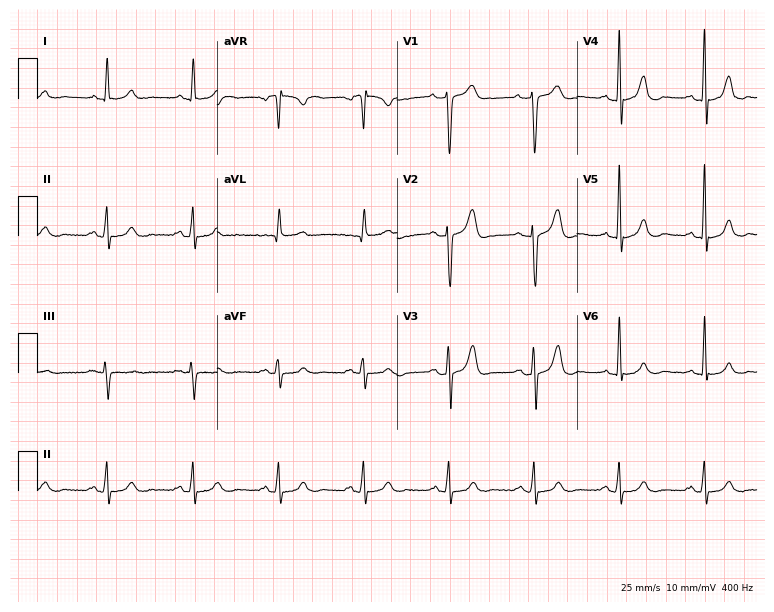
Electrocardiogram, a male patient, 60 years old. Overall reading on record: normal ECG.